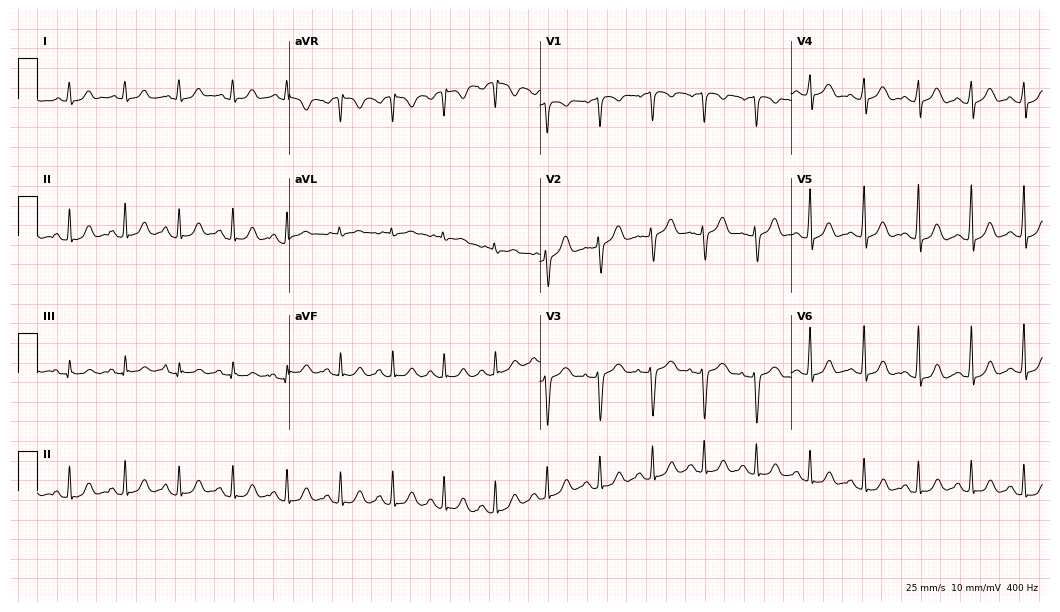
ECG — a 52-year-old female patient. Screened for six findings — first-degree AV block, right bundle branch block (RBBB), left bundle branch block (LBBB), sinus bradycardia, atrial fibrillation (AF), sinus tachycardia — none is recorded.